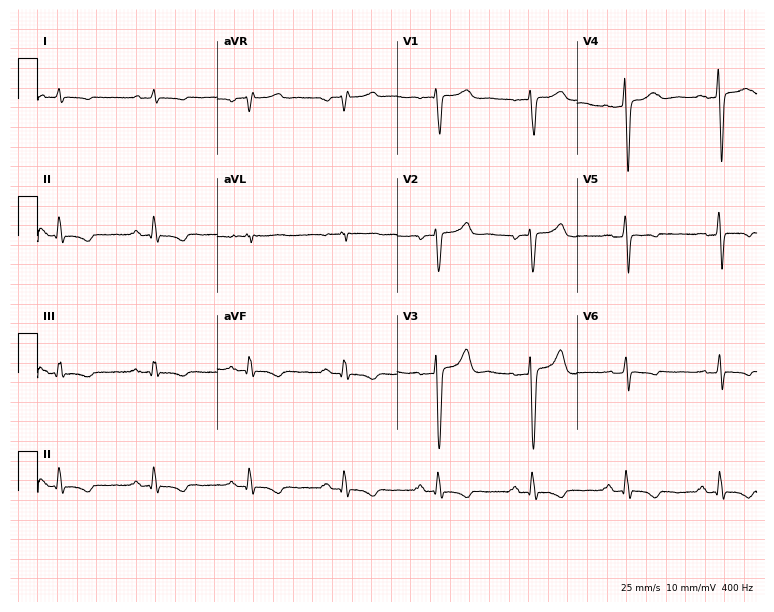
12-lead ECG from a 53-year-old man. Screened for six findings — first-degree AV block, right bundle branch block, left bundle branch block, sinus bradycardia, atrial fibrillation, sinus tachycardia — none is recorded. Only these six findings were labelled.